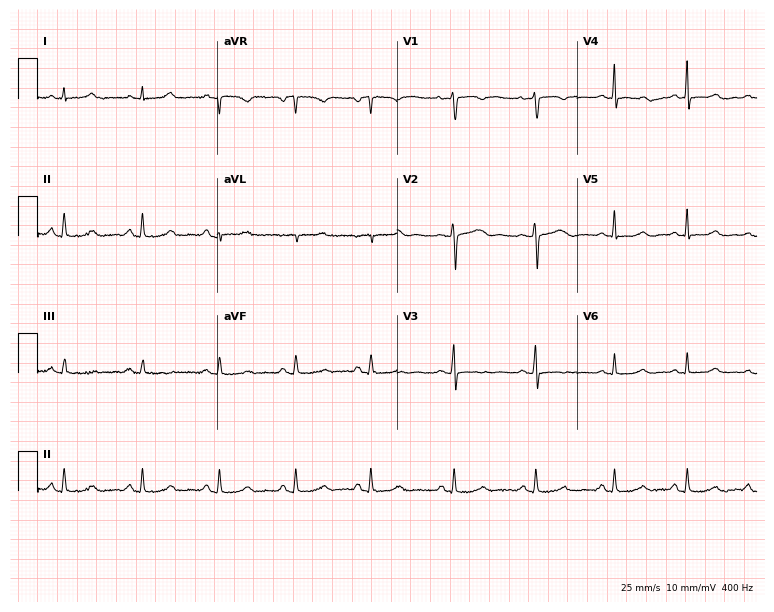
12-lead ECG from a female, 24 years old. Recorded interpretation: within normal limits.